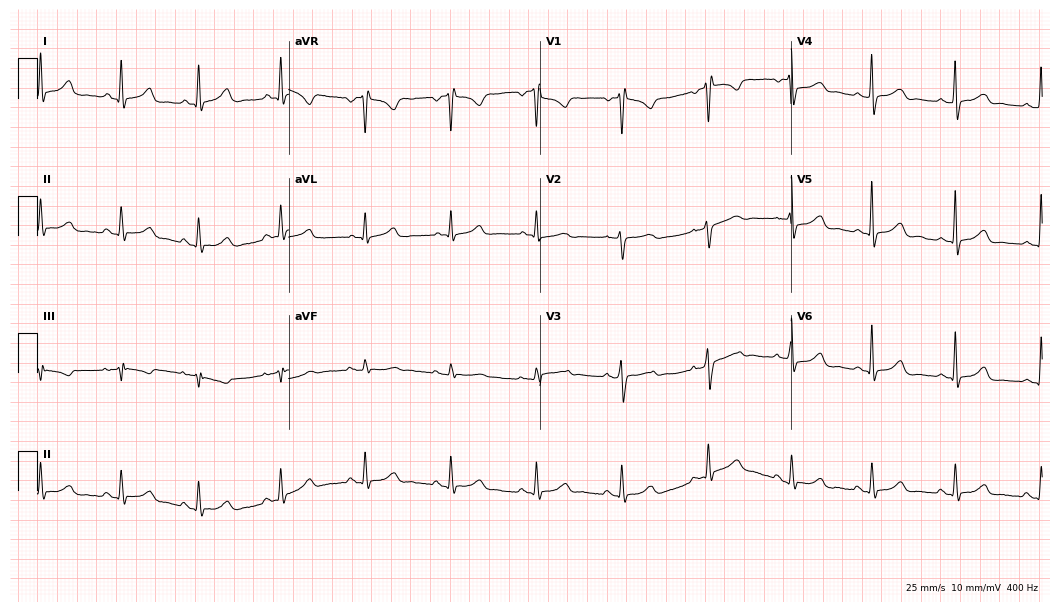
Electrocardiogram, a 26-year-old woman. Overall reading on record: normal ECG.